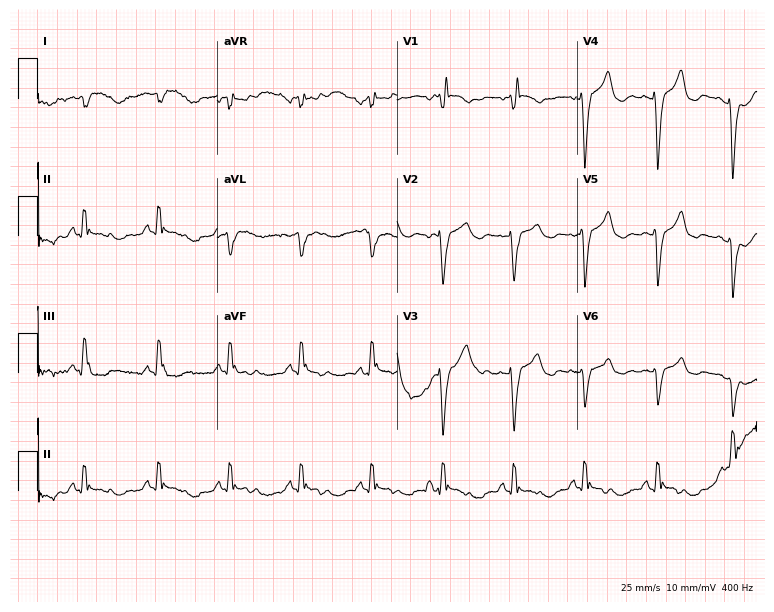
12-lead ECG from a male, 70 years old. Screened for six findings — first-degree AV block, right bundle branch block, left bundle branch block, sinus bradycardia, atrial fibrillation, sinus tachycardia — none is recorded.